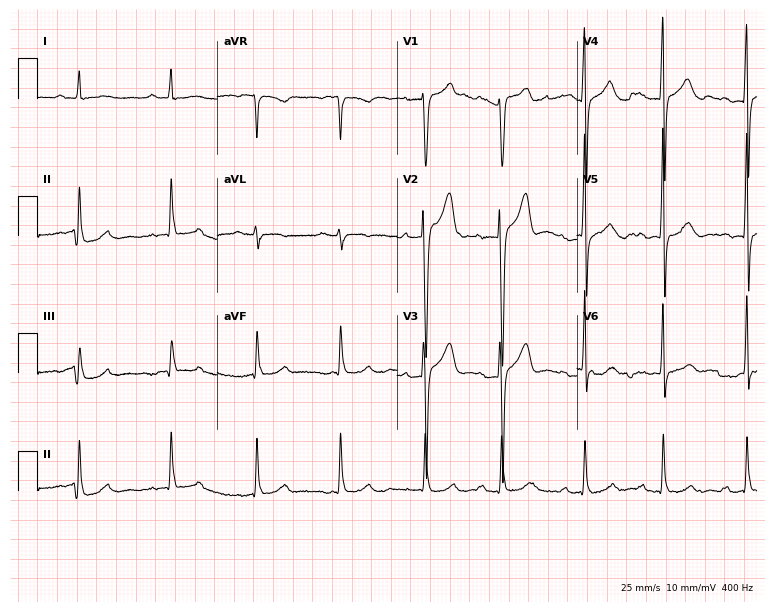
12-lead ECG from a 29-year-old man (7.3-second recording at 400 Hz). No first-degree AV block, right bundle branch block, left bundle branch block, sinus bradycardia, atrial fibrillation or sinus tachycardia recorded for this tracing. Other findings, if any, are not listed.